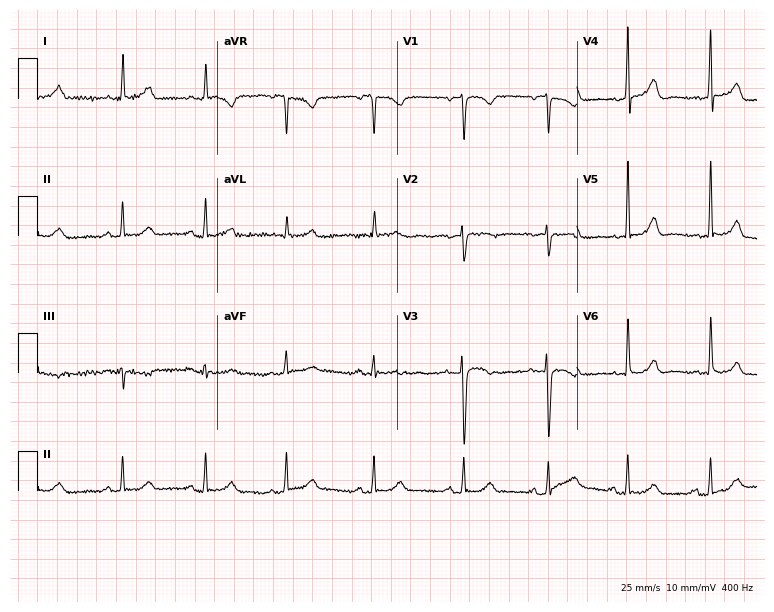
12-lead ECG from a woman, 31 years old. Labelled as a normal ECG.